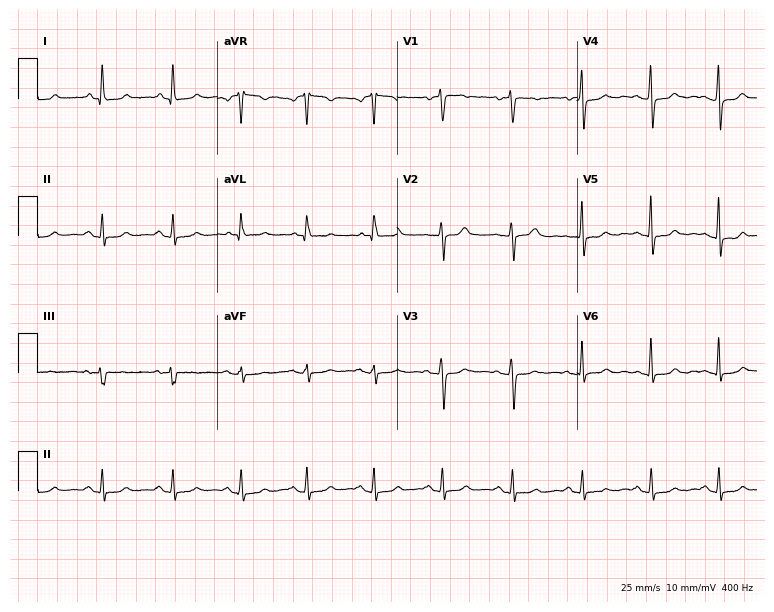
Electrocardiogram, a female, 56 years old. Of the six screened findings (first-degree AV block, right bundle branch block, left bundle branch block, sinus bradycardia, atrial fibrillation, sinus tachycardia), none is recorded. Findings outside these six are not listed.